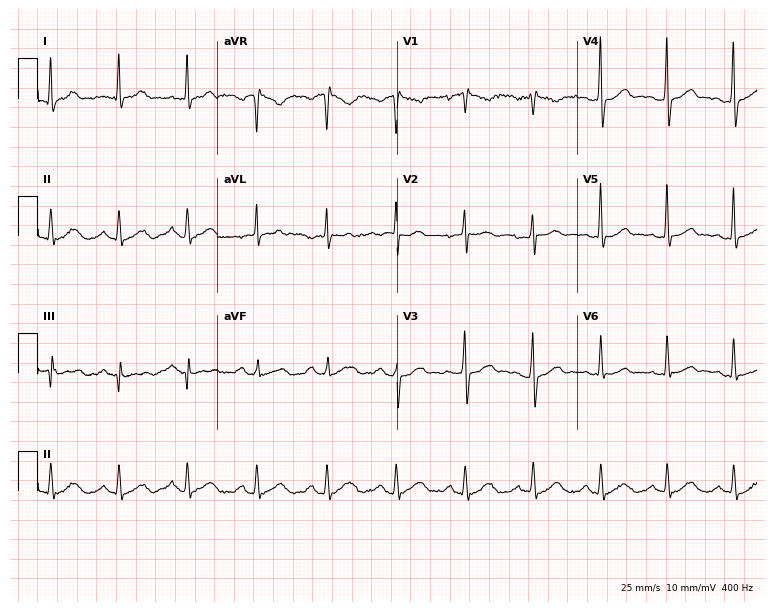
12-lead ECG (7.3-second recording at 400 Hz) from a 55-year-old male. Labelled as a normal ECG.